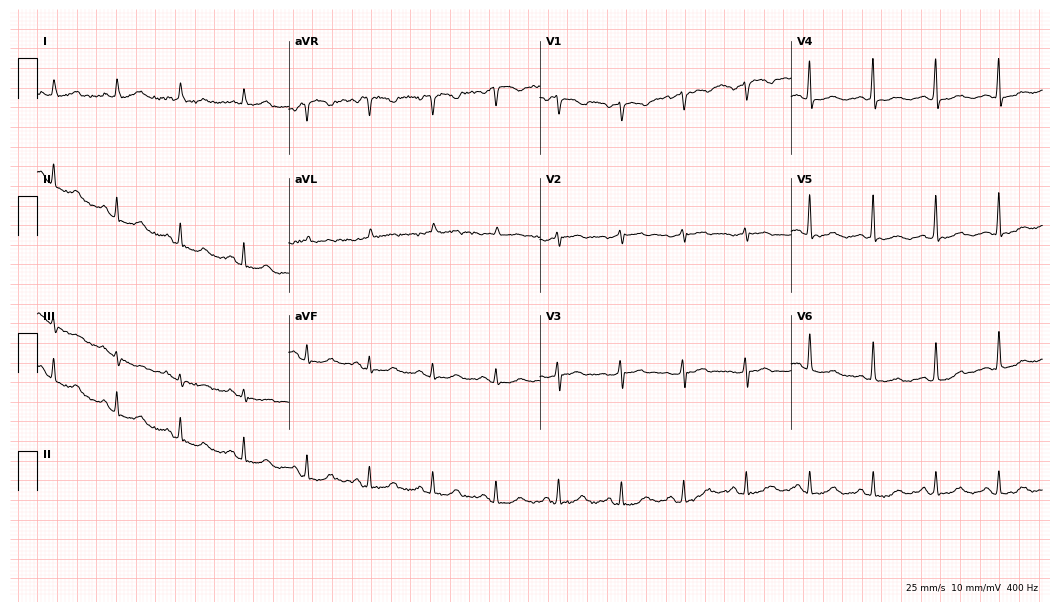
ECG (10.2-second recording at 400 Hz) — a 59-year-old female patient. Screened for six findings — first-degree AV block, right bundle branch block, left bundle branch block, sinus bradycardia, atrial fibrillation, sinus tachycardia — none is recorded. Only these six findings were labelled.